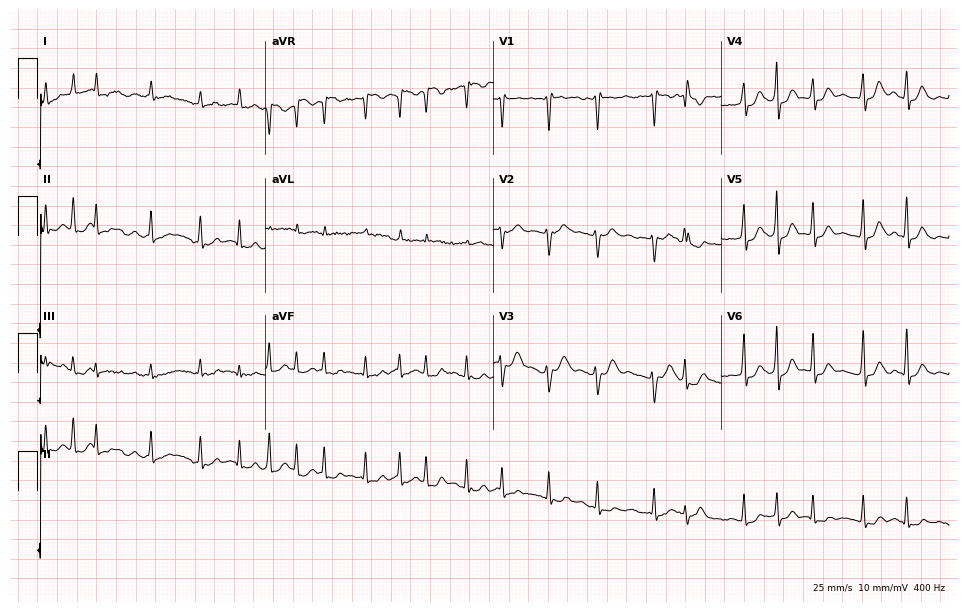
12-lead ECG from a female patient, 24 years old. Shows atrial fibrillation (AF).